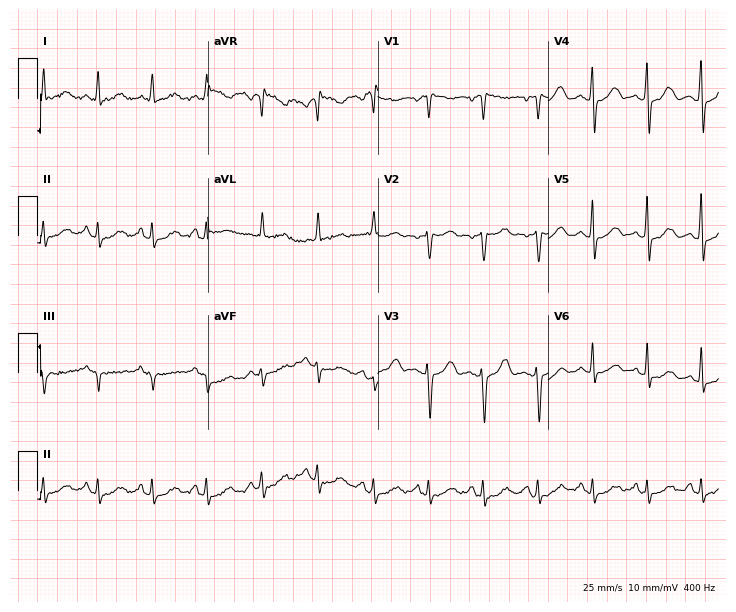
12-lead ECG from a female, 55 years old. Screened for six findings — first-degree AV block, right bundle branch block, left bundle branch block, sinus bradycardia, atrial fibrillation, sinus tachycardia — none is recorded.